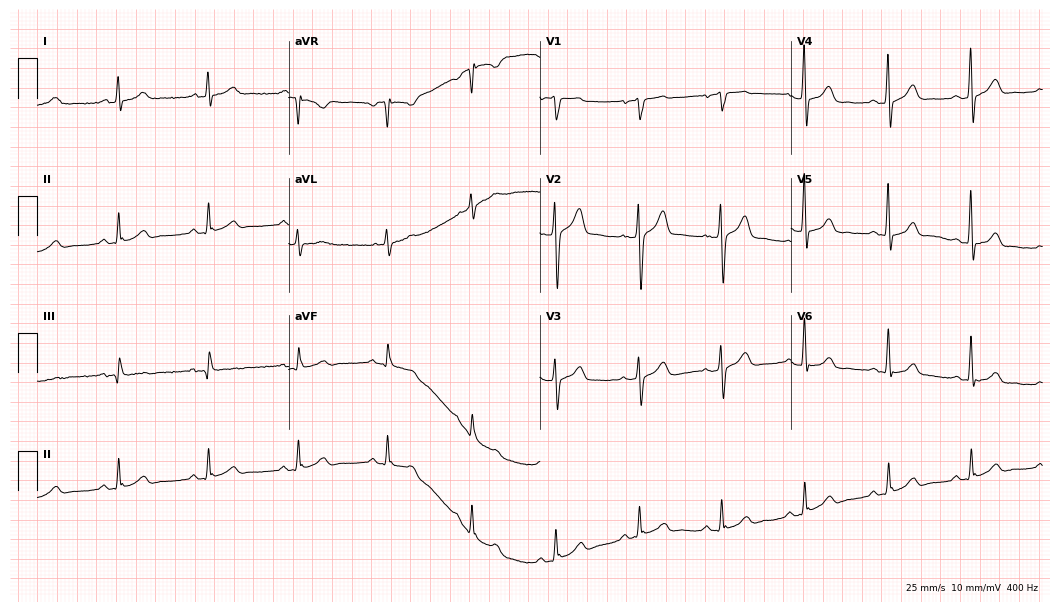
12-lead ECG (10.2-second recording at 400 Hz) from a 41-year-old male. Labelled as a normal ECG.